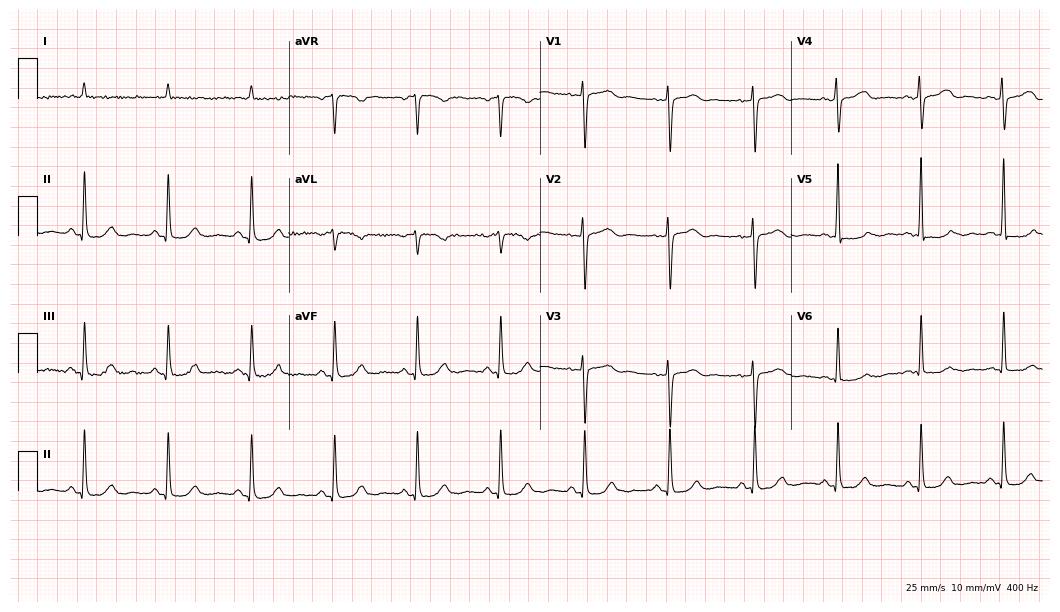
Electrocardiogram, a woman, 66 years old. Of the six screened findings (first-degree AV block, right bundle branch block (RBBB), left bundle branch block (LBBB), sinus bradycardia, atrial fibrillation (AF), sinus tachycardia), none is recorded.